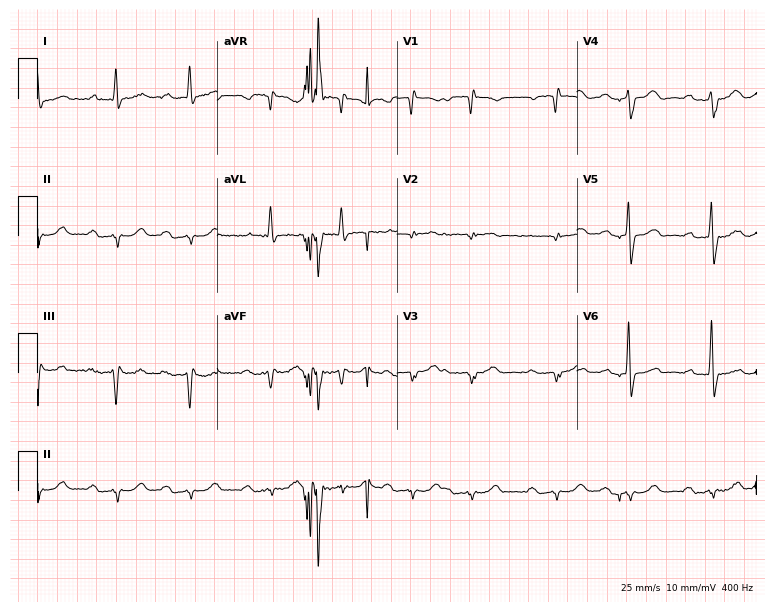
Resting 12-lead electrocardiogram (7.3-second recording at 400 Hz). Patient: a male, 85 years old. The tracing shows first-degree AV block.